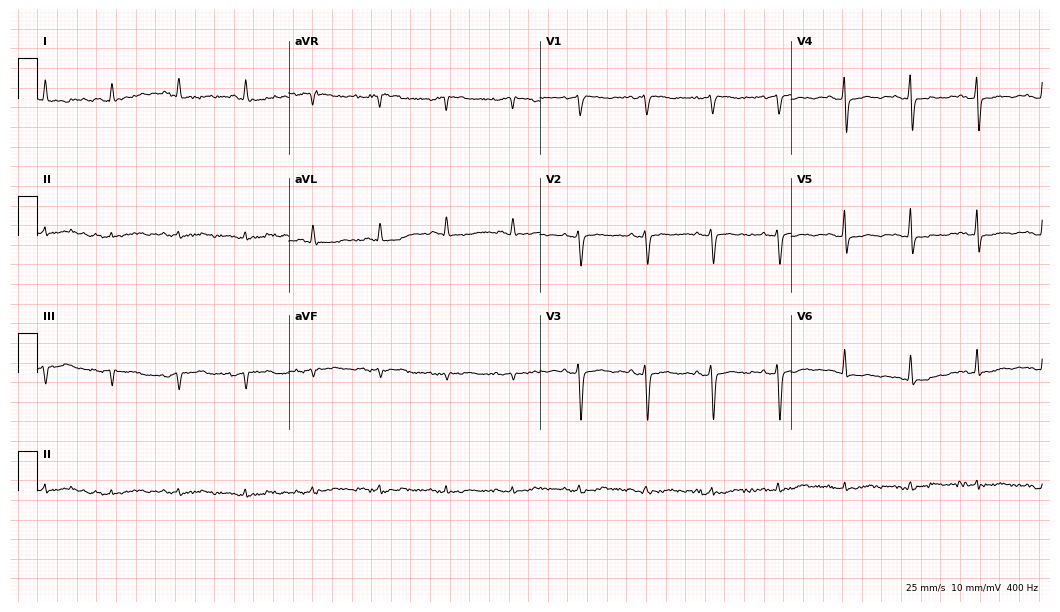
12-lead ECG (10.2-second recording at 400 Hz) from a female, 73 years old. Screened for six findings — first-degree AV block, right bundle branch block, left bundle branch block, sinus bradycardia, atrial fibrillation, sinus tachycardia — none is recorded. Only these six findings were labelled.